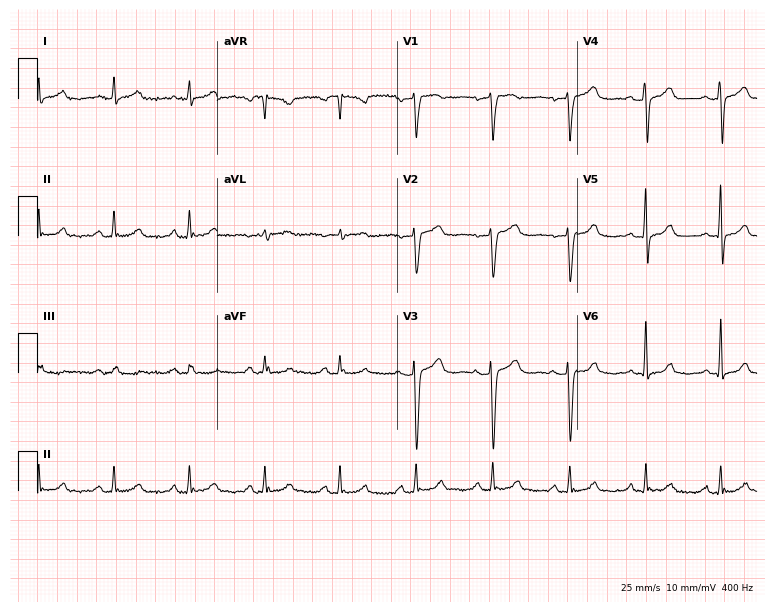
Resting 12-lead electrocardiogram. Patient: a 47-year-old woman. Read as a normal ECG.